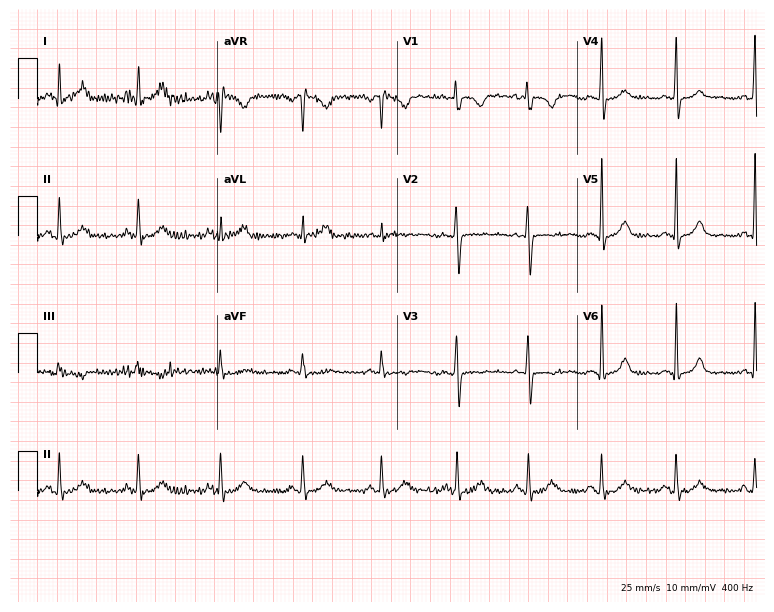
12-lead ECG from a 34-year-old female. No first-degree AV block, right bundle branch block, left bundle branch block, sinus bradycardia, atrial fibrillation or sinus tachycardia recorded for this tracing.